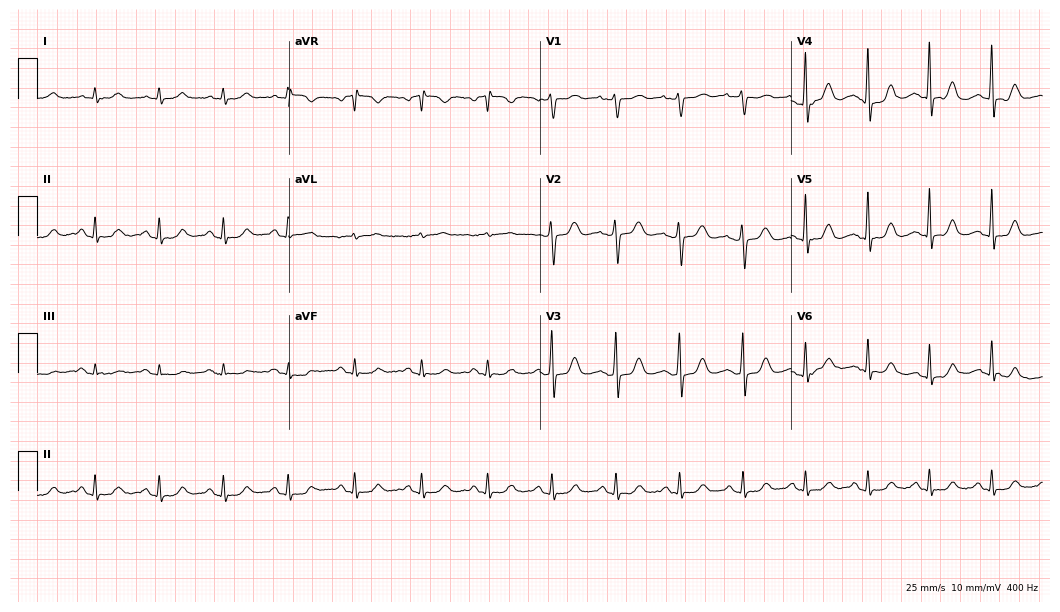
Standard 12-lead ECG recorded from a female, 53 years old (10.2-second recording at 400 Hz). None of these six findings is recorded: first-degree AV block, right bundle branch block, left bundle branch block, sinus bradycardia, atrial fibrillation, sinus tachycardia.